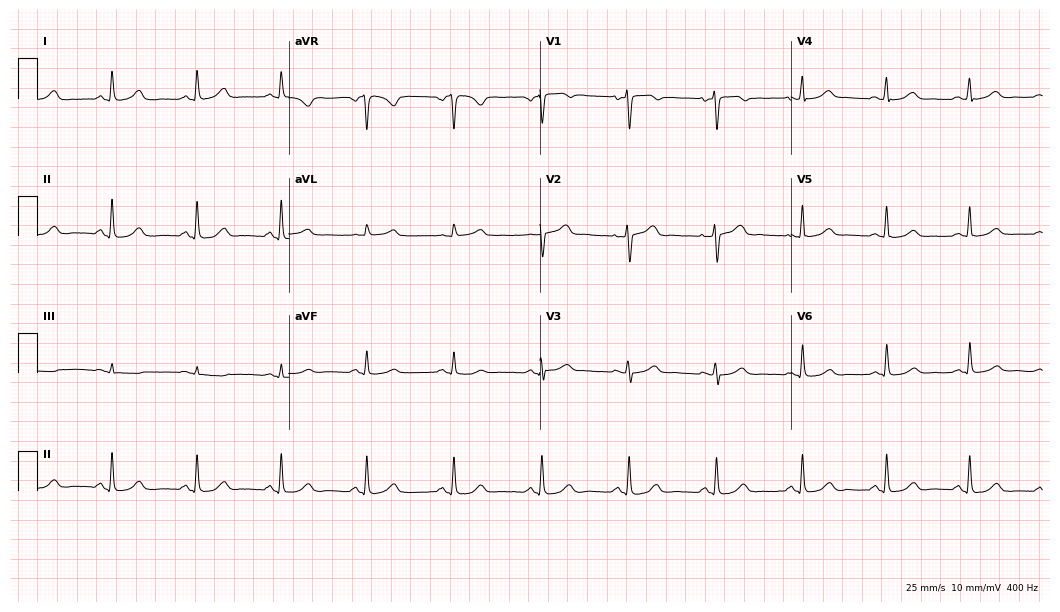
12-lead ECG from a female, 90 years old or older (10.2-second recording at 400 Hz). Recorded interpretation: within normal limits.